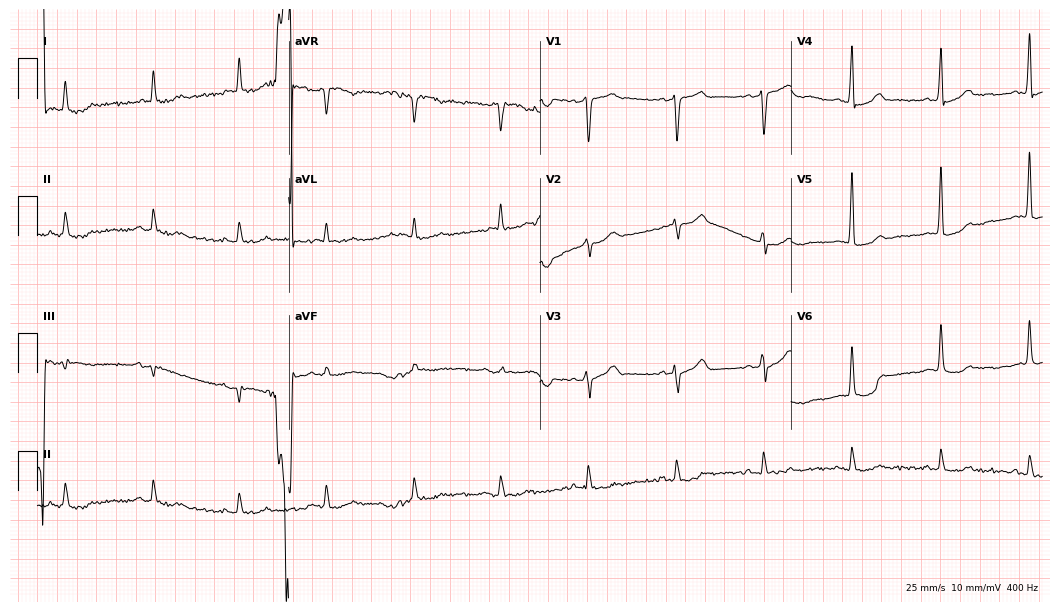
Standard 12-lead ECG recorded from a male patient, 85 years old. None of these six findings is recorded: first-degree AV block, right bundle branch block (RBBB), left bundle branch block (LBBB), sinus bradycardia, atrial fibrillation (AF), sinus tachycardia. Findings outside these six are not listed.